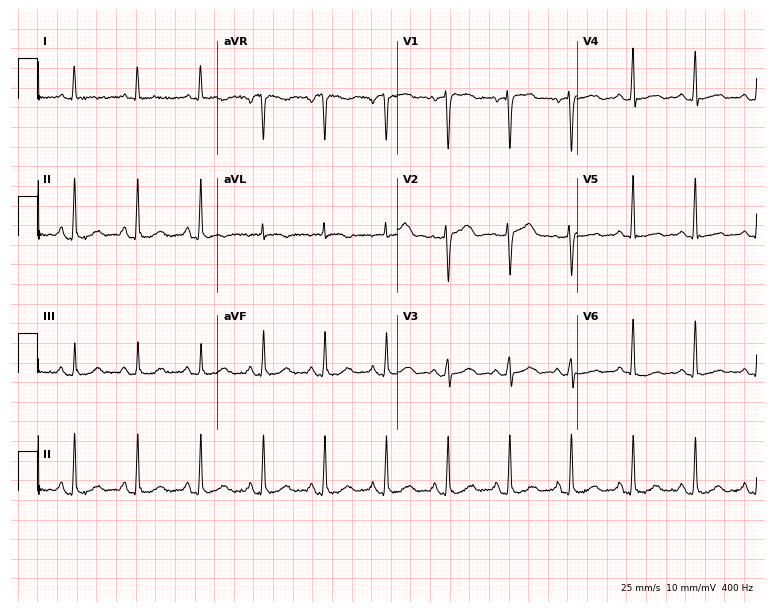
12-lead ECG from a female patient, 65 years old (7.3-second recording at 400 Hz). No first-degree AV block, right bundle branch block, left bundle branch block, sinus bradycardia, atrial fibrillation or sinus tachycardia recorded for this tracing.